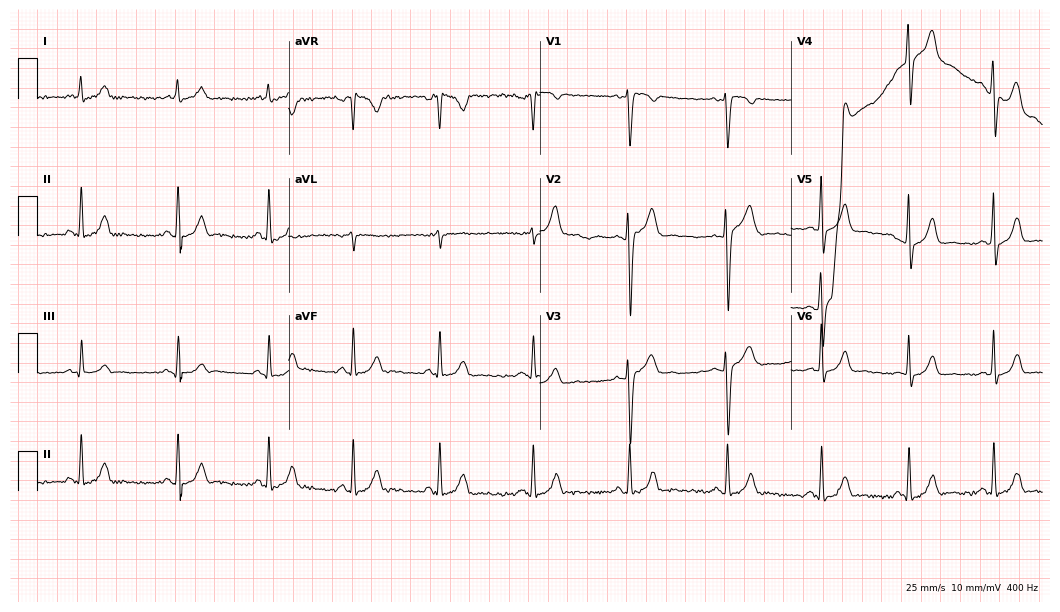
Resting 12-lead electrocardiogram (10.2-second recording at 400 Hz). Patient: a male, 26 years old. Read as a normal ECG.